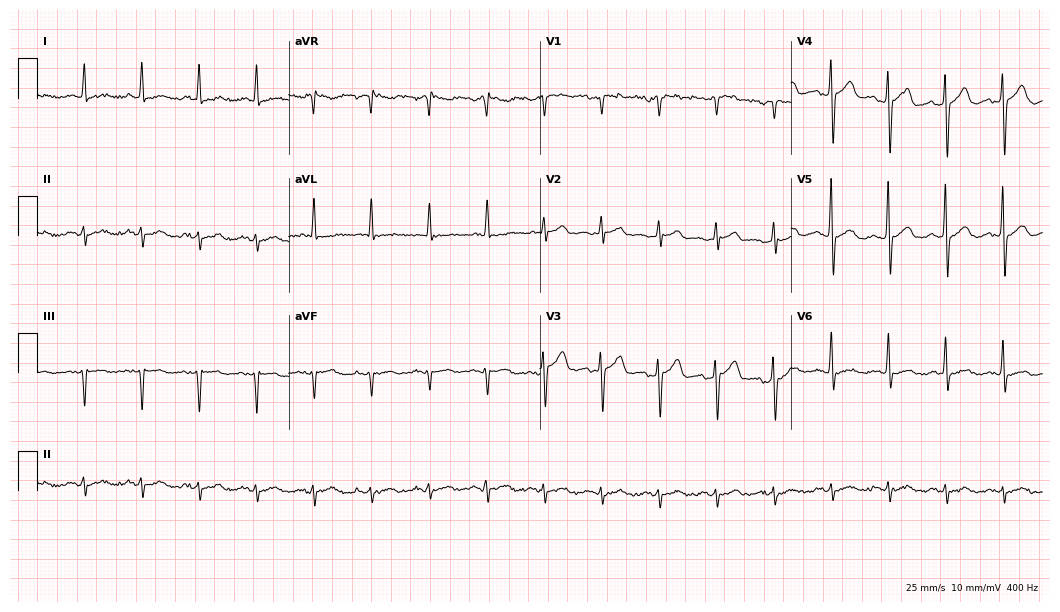
Electrocardiogram, a 69-year-old male. Overall reading on record: normal ECG.